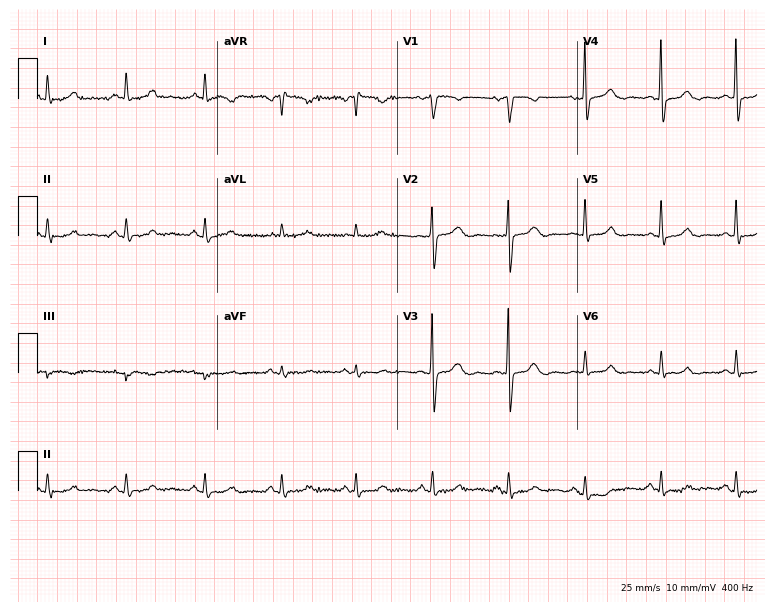
ECG — a female patient, 59 years old. Labelled as a normal ECG.